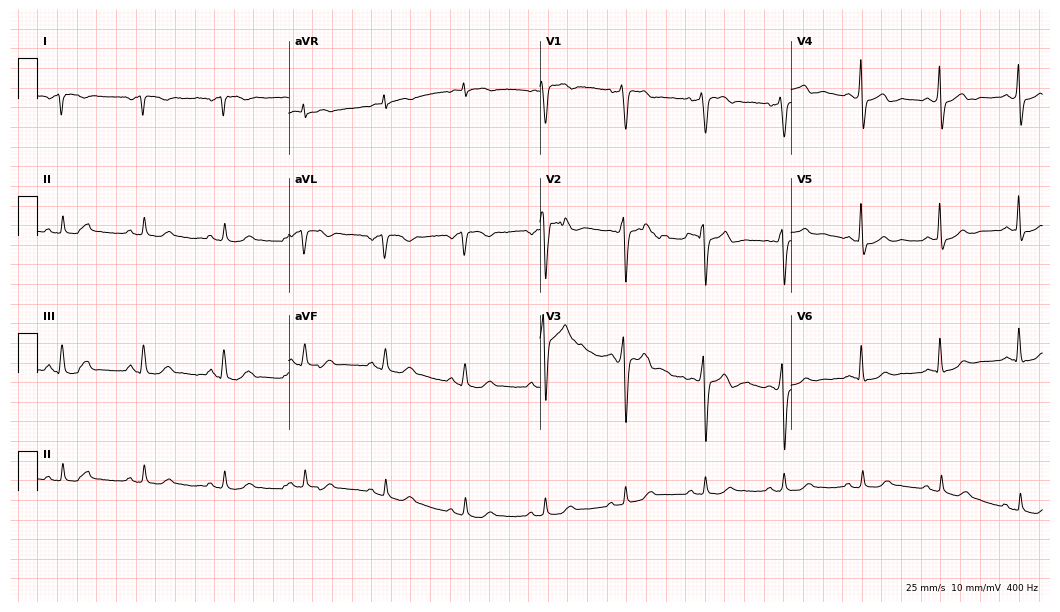
ECG (10.2-second recording at 400 Hz) — a 57-year-old male patient. Screened for six findings — first-degree AV block, right bundle branch block, left bundle branch block, sinus bradycardia, atrial fibrillation, sinus tachycardia — none is recorded. Other findings, if any, are not listed.